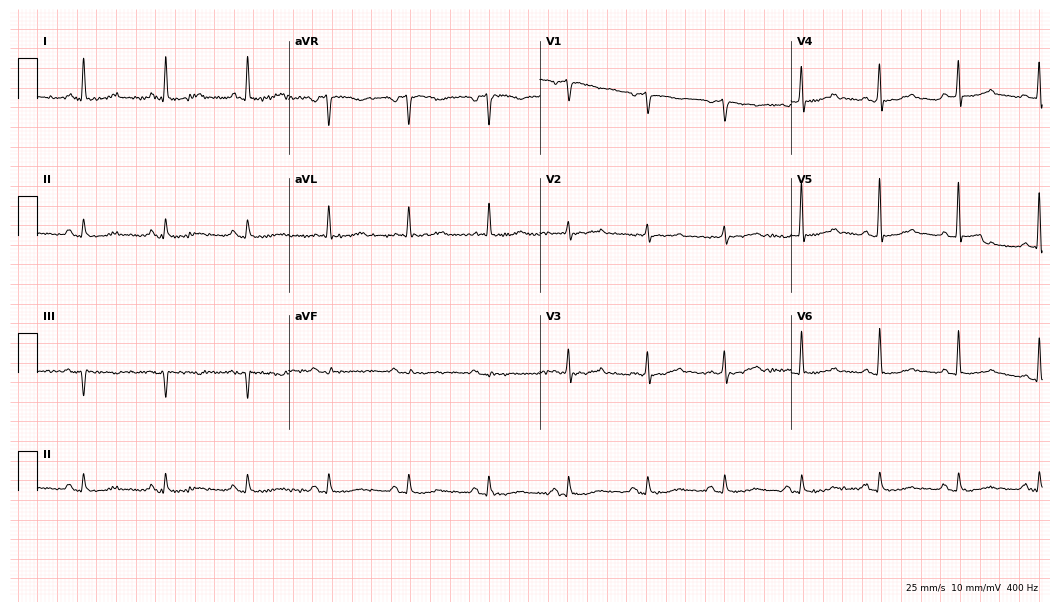
12-lead ECG from a woman, 79 years old (10.2-second recording at 400 Hz). Recorded interpretation: within normal limits.